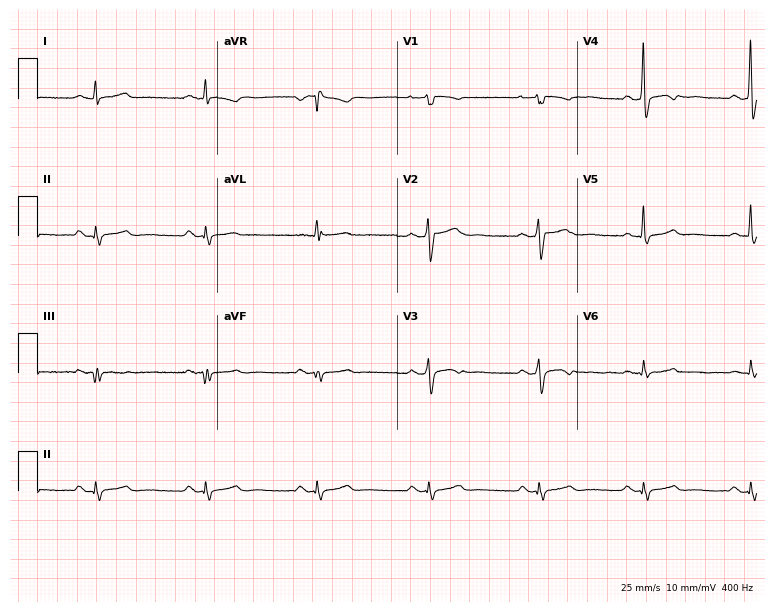
12-lead ECG from a 47-year-old female. Labelled as a normal ECG.